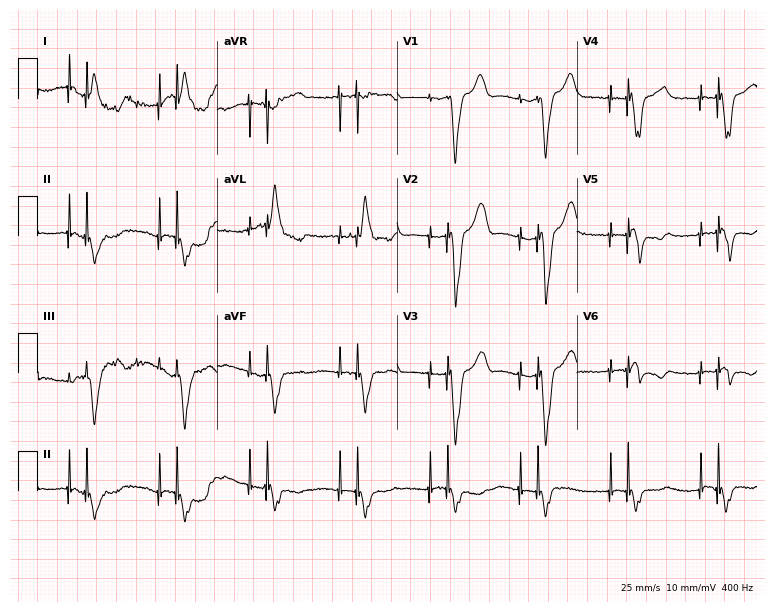
ECG — a 79-year-old male. Screened for six findings — first-degree AV block, right bundle branch block, left bundle branch block, sinus bradycardia, atrial fibrillation, sinus tachycardia — none is recorded.